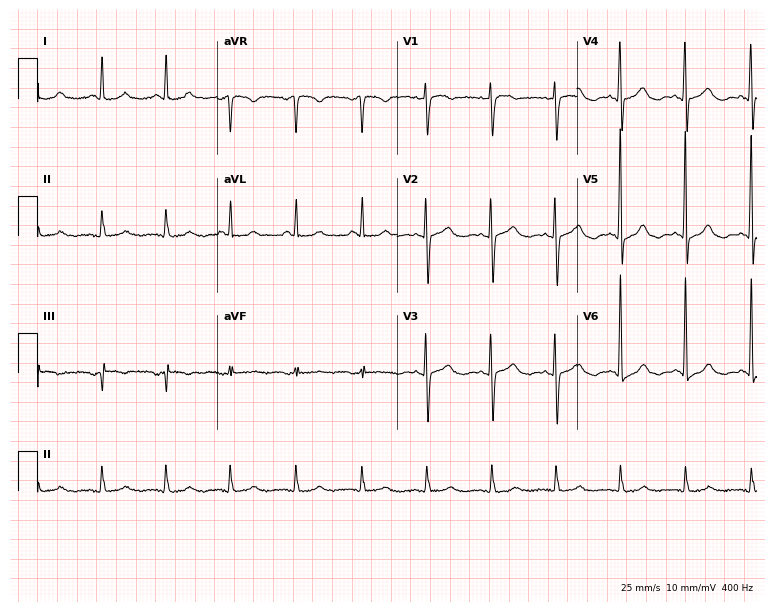
12-lead ECG from a 77-year-old female patient. No first-degree AV block, right bundle branch block (RBBB), left bundle branch block (LBBB), sinus bradycardia, atrial fibrillation (AF) or sinus tachycardia recorded for this tracing.